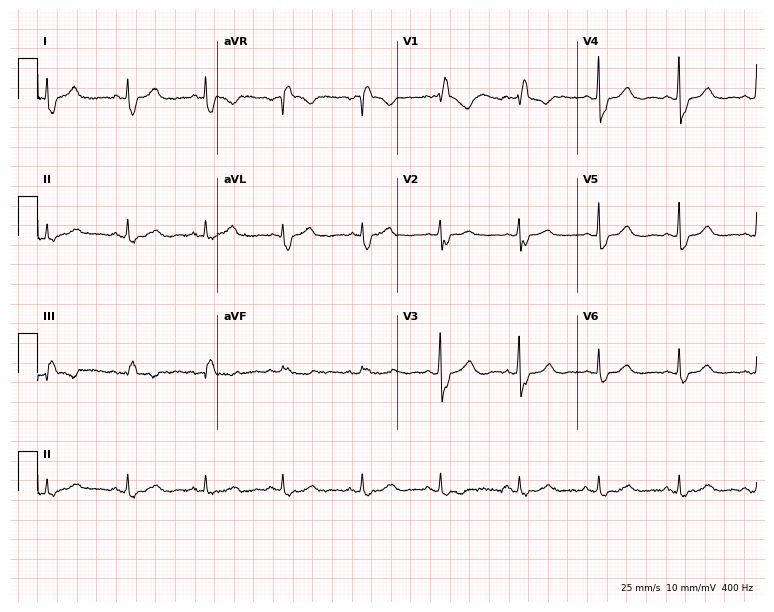
12-lead ECG (7.3-second recording at 400 Hz) from a woman, 74 years old. Screened for six findings — first-degree AV block, right bundle branch block, left bundle branch block, sinus bradycardia, atrial fibrillation, sinus tachycardia — none is recorded.